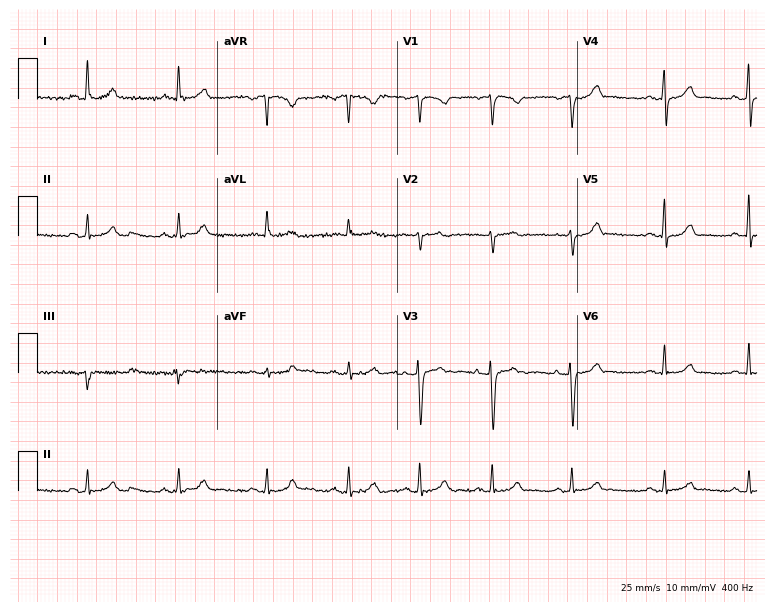
12-lead ECG from a female patient, 42 years old. Recorded interpretation: within normal limits.